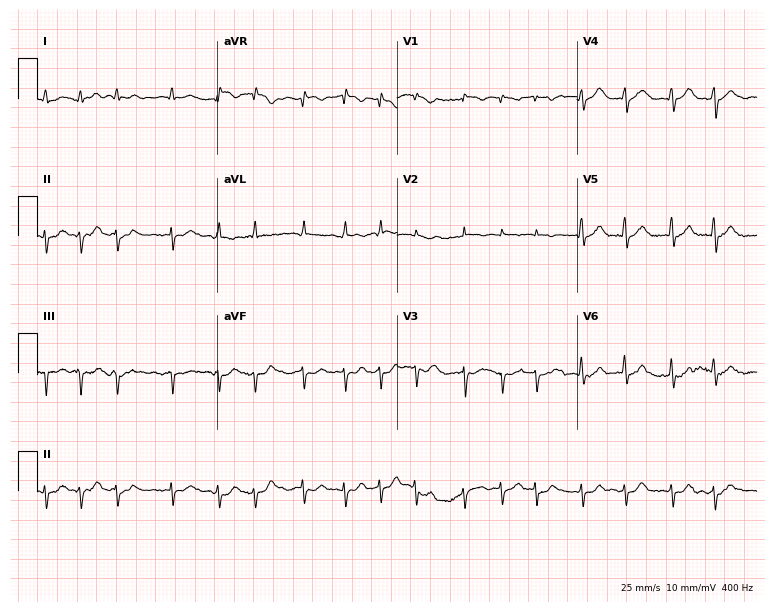
ECG (7.3-second recording at 400 Hz) — a male patient, 81 years old. Findings include atrial fibrillation.